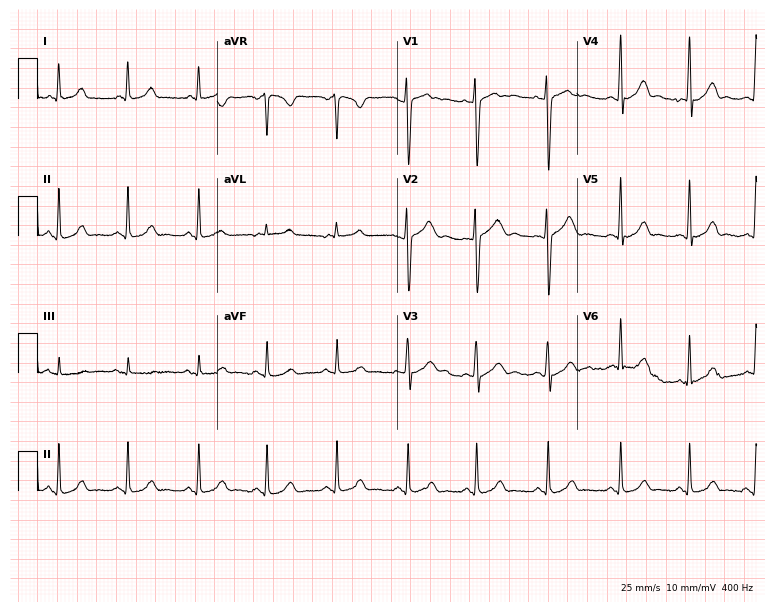
Standard 12-lead ECG recorded from a woman, 26 years old (7.3-second recording at 400 Hz). Read as a normal ECG.